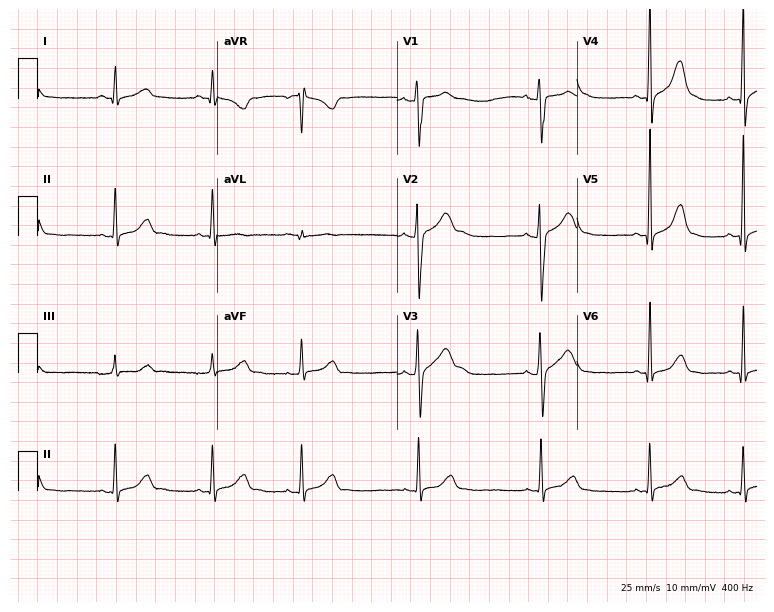
Electrocardiogram, a man, 20 years old. Of the six screened findings (first-degree AV block, right bundle branch block, left bundle branch block, sinus bradycardia, atrial fibrillation, sinus tachycardia), none is recorded.